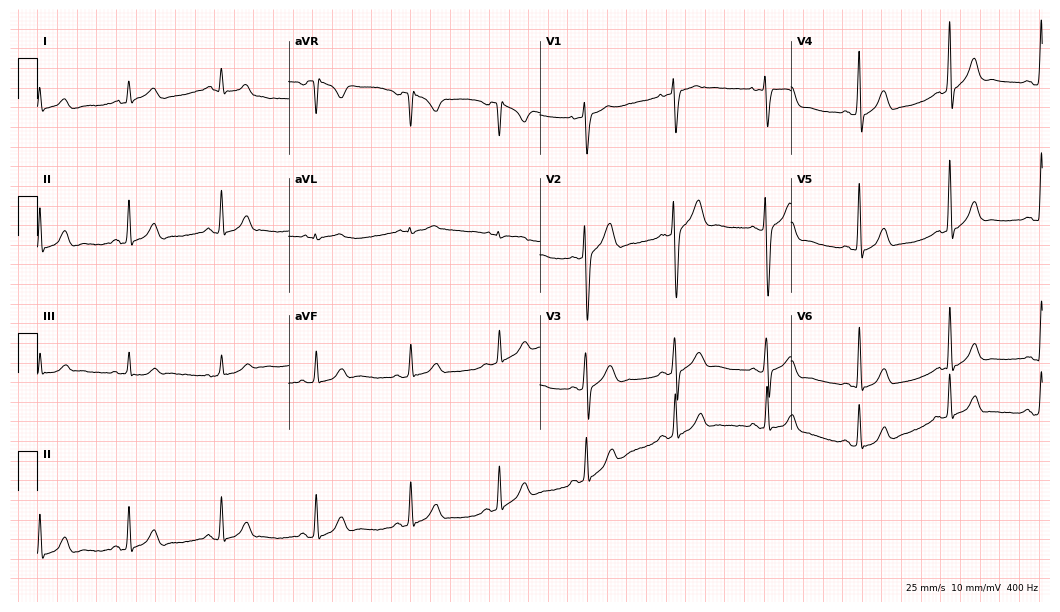
ECG — a male, 35 years old. Labelled as a normal ECG.